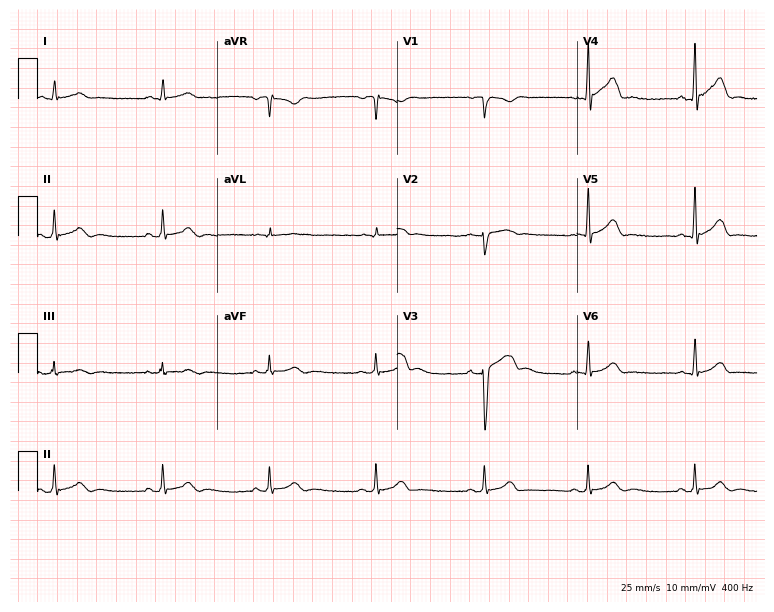
Electrocardiogram, a 28-year-old male patient. Overall reading on record: normal ECG.